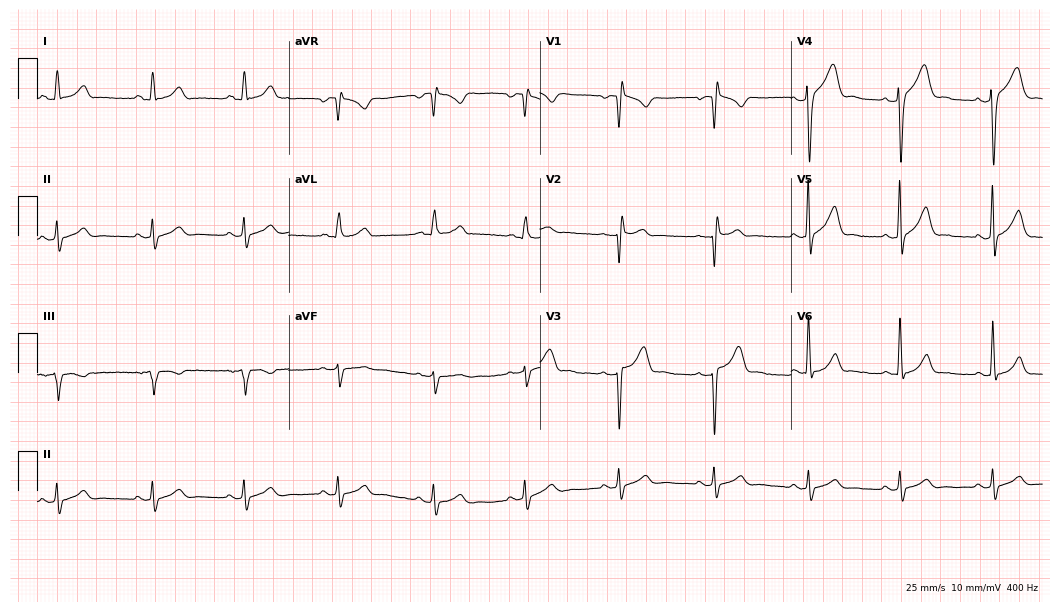
ECG (10.2-second recording at 400 Hz) — a 27-year-old man. Screened for six findings — first-degree AV block, right bundle branch block (RBBB), left bundle branch block (LBBB), sinus bradycardia, atrial fibrillation (AF), sinus tachycardia — none is recorded. Only these six findings were labelled.